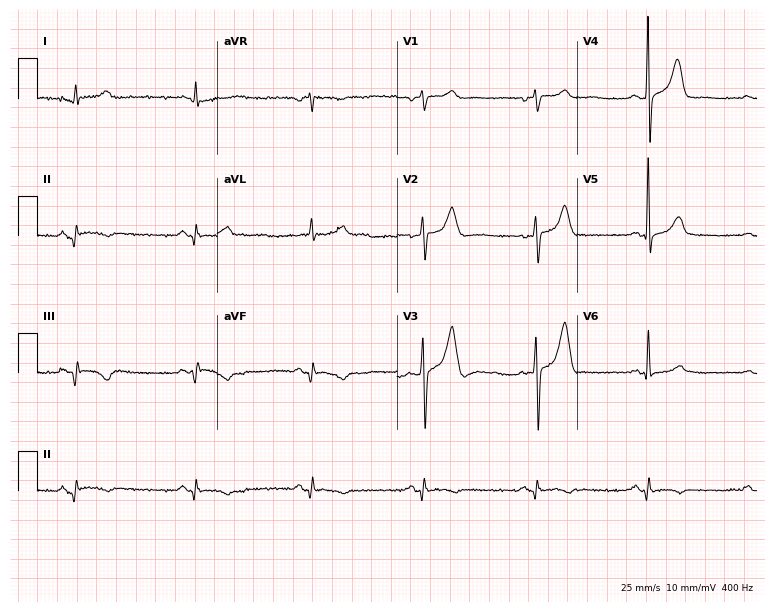
12-lead ECG from a male, 75 years old. No first-degree AV block, right bundle branch block (RBBB), left bundle branch block (LBBB), sinus bradycardia, atrial fibrillation (AF) or sinus tachycardia recorded for this tracing.